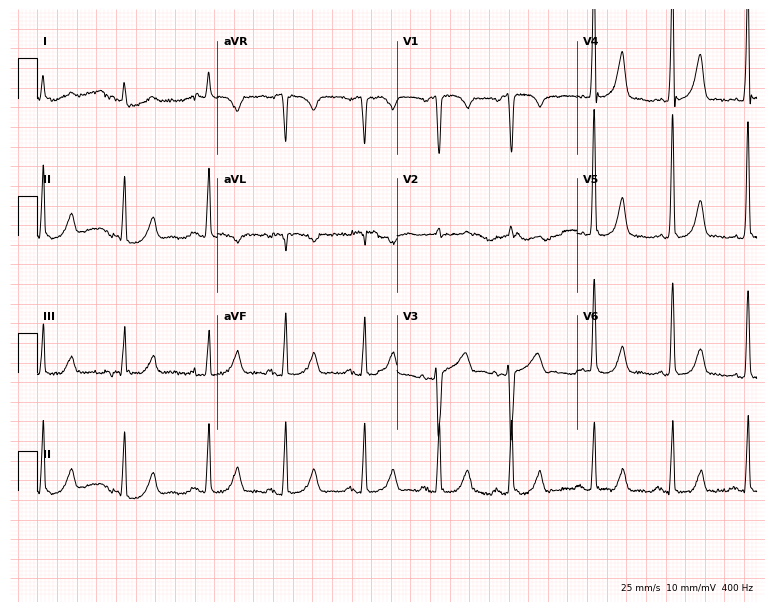
12-lead ECG from a 79-year-old female patient (7.3-second recording at 400 Hz). Recorded interpretation: within normal limits.